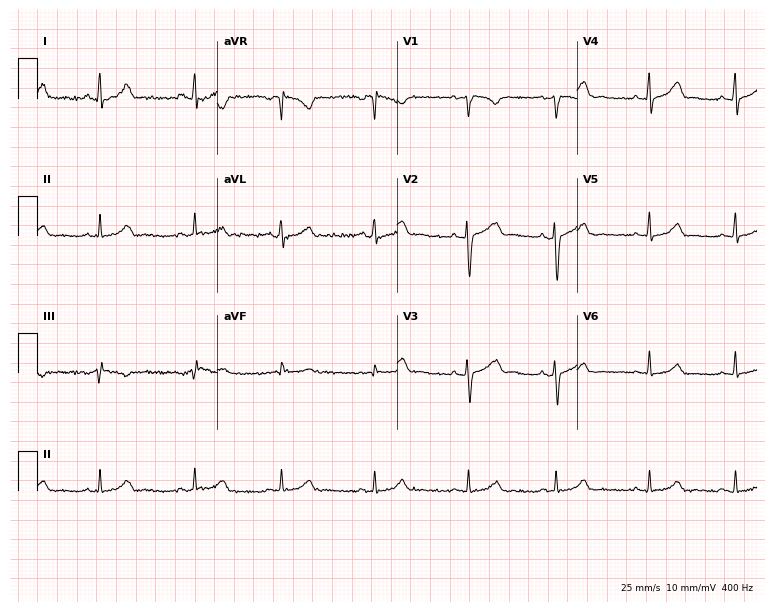
12-lead ECG from a woman, 26 years old (7.3-second recording at 400 Hz). No first-degree AV block, right bundle branch block (RBBB), left bundle branch block (LBBB), sinus bradycardia, atrial fibrillation (AF) or sinus tachycardia recorded for this tracing.